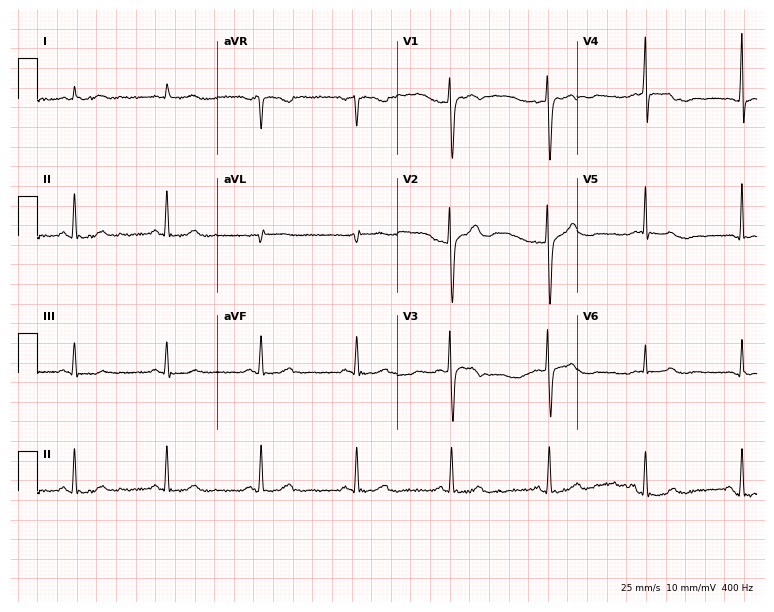
12-lead ECG from a 50-year-old man. Labelled as a normal ECG.